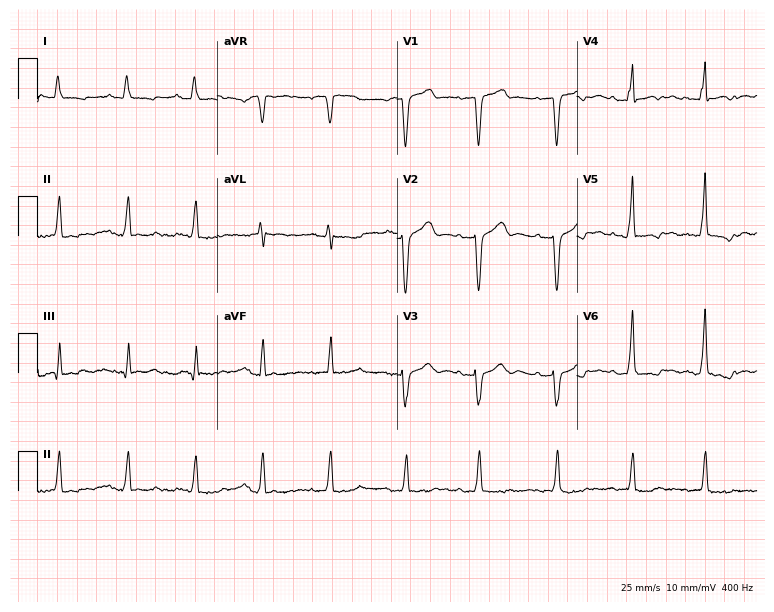
Resting 12-lead electrocardiogram (7.3-second recording at 400 Hz). Patient: a 75-year-old female. Read as a normal ECG.